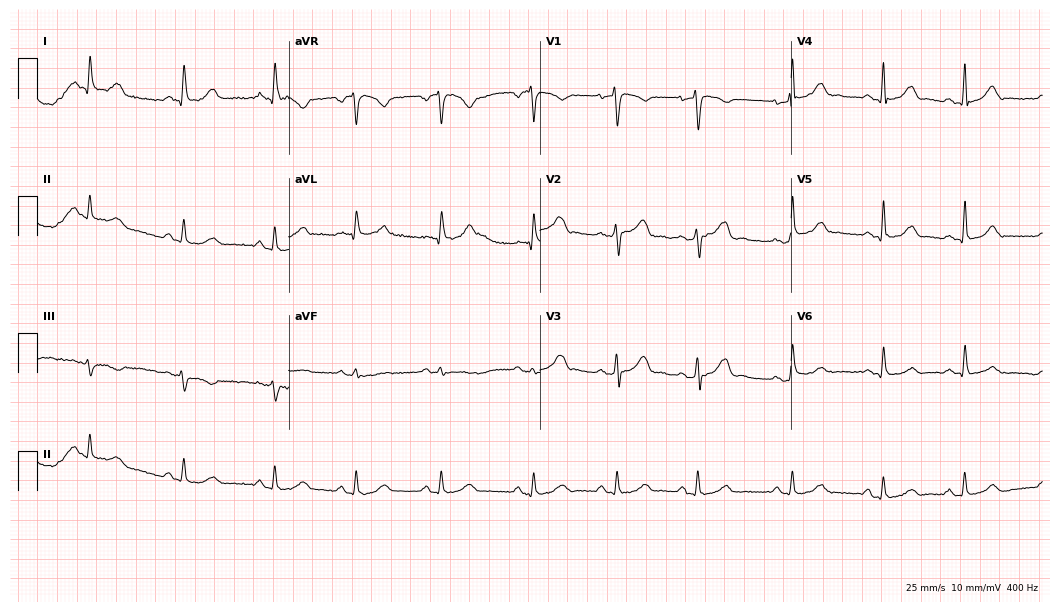
Resting 12-lead electrocardiogram (10.2-second recording at 400 Hz). Patient: a female, 31 years old. Read as a normal ECG.